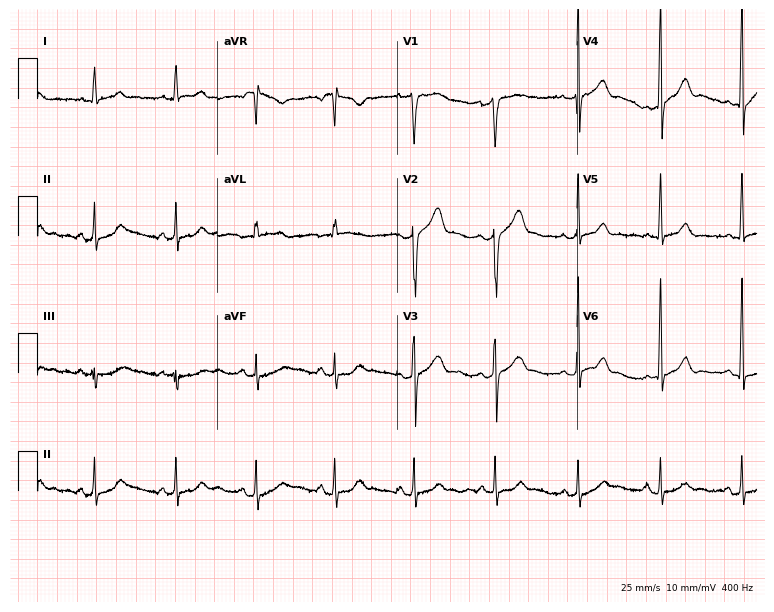
Resting 12-lead electrocardiogram. Patient: a man, 35 years old. Read as a normal ECG.